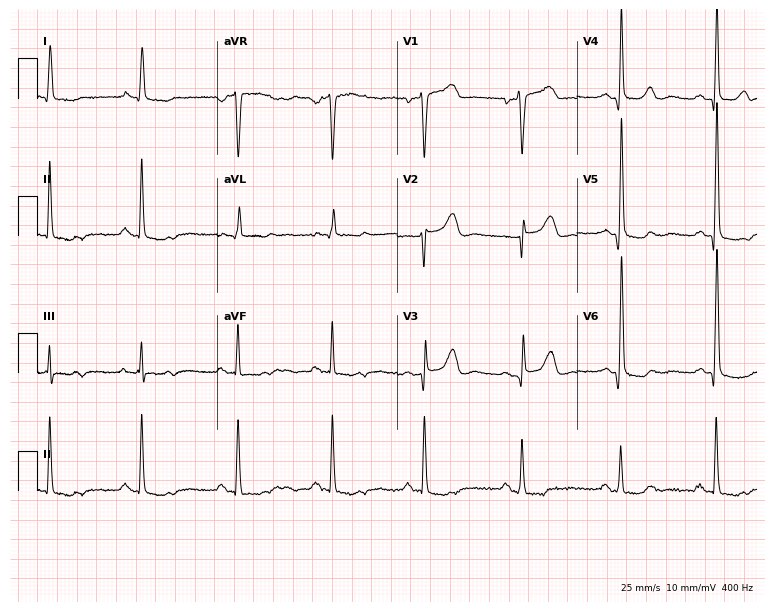
12-lead ECG (7.3-second recording at 400 Hz) from a female, 77 years old. Screened for six findings — first-degree AV block, right bundle branch block, left bundle branch block, sinus bradycardia, atrial fibrillation, sinus tachycardia — none is recorded.